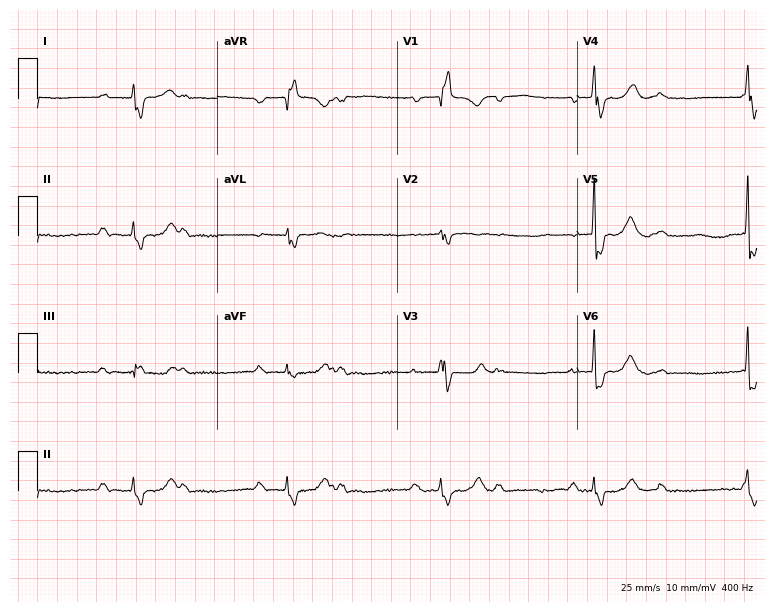
12-lead ECG from a 73-year-old man. Findings include first-degree AV block, right bundle branch block (RBBB).